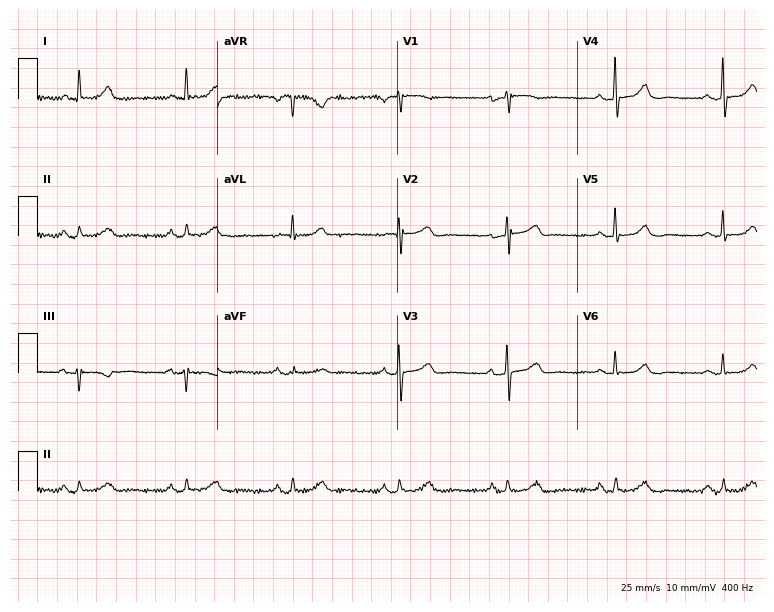
ECG — an 84-year-old woman. Labelled as a normal ECG.